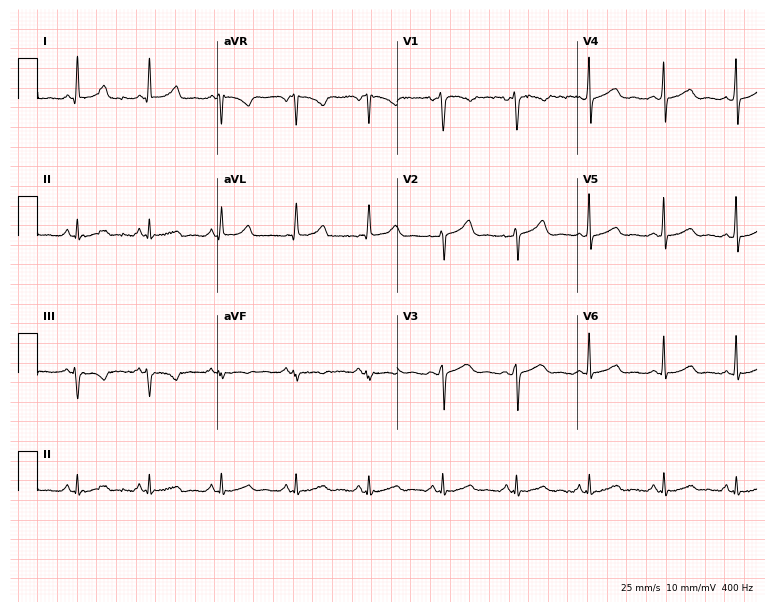
ECG — a 36-year-old female. Labelled as a normal ECG.